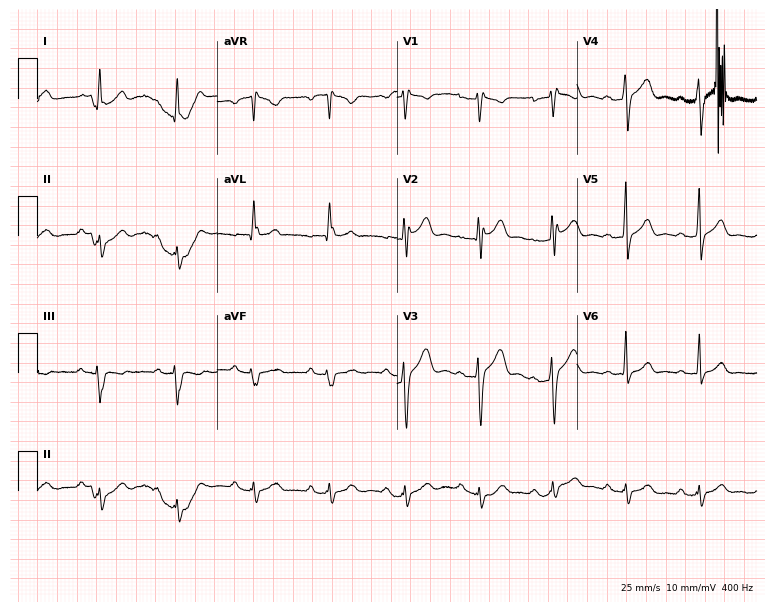
12-lead ECG (7.3-second recording at 400 Hz) from a 48-year-old male. Screened for six findings — first-degree AV block, right bundle branch block, left bundle branch block, sinus bradycardia, atrial fibrillation, sinus tachycardia — none is recorded. Only these six findings were labelled.